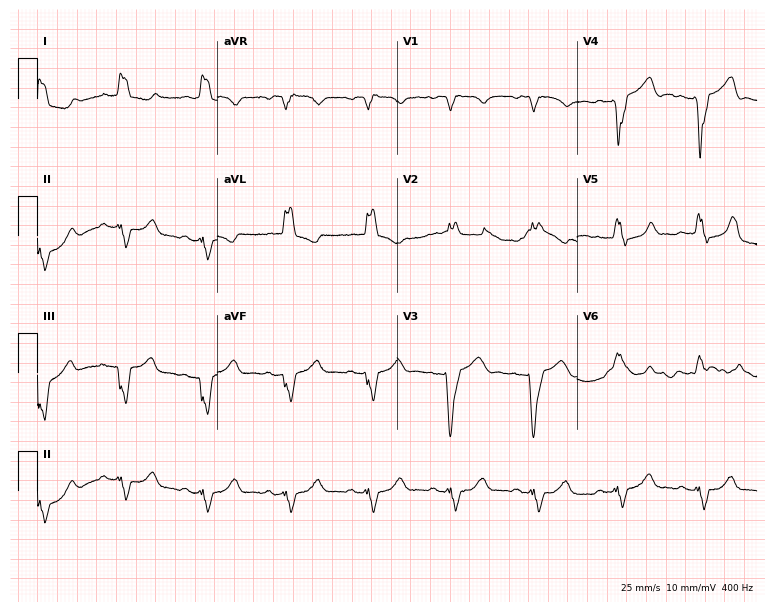
ECG (7.3-second recording at 400 Hz) — a 71-year-old female patient. Findings include left bundle branch block (LBBB).